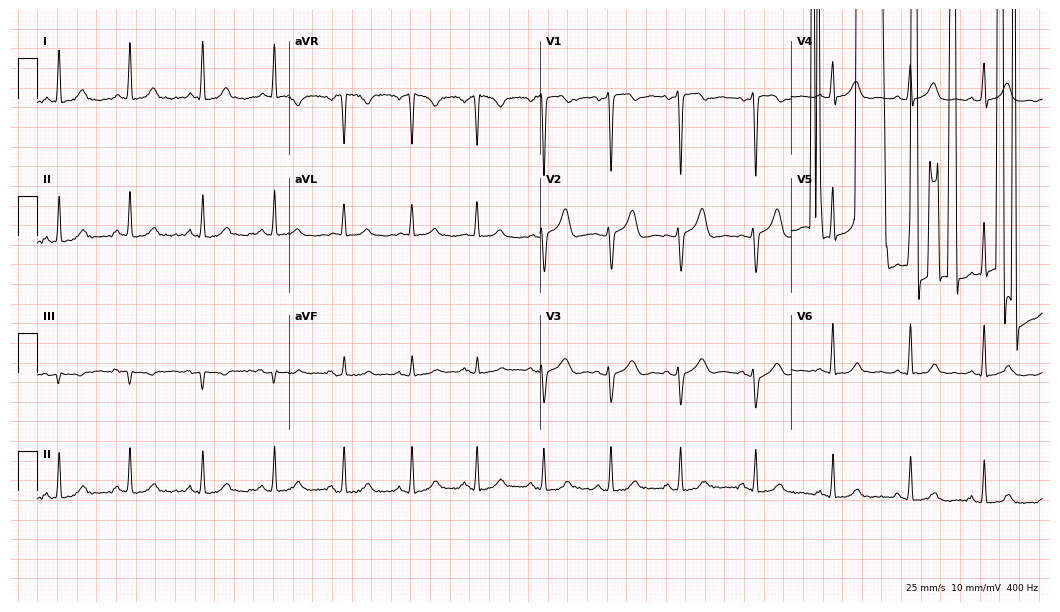
12-lead ECG from a female, 30 years old (10.2-second recording at 400 Hz). No first-degree AV block, right bundle branch block (RBBB), left bundle branch block (LBBB), sinus bradycardia, atrial fibrillation (AF) or sinus tachycardia recorded for this tracing. Findings outside these six are not listed.